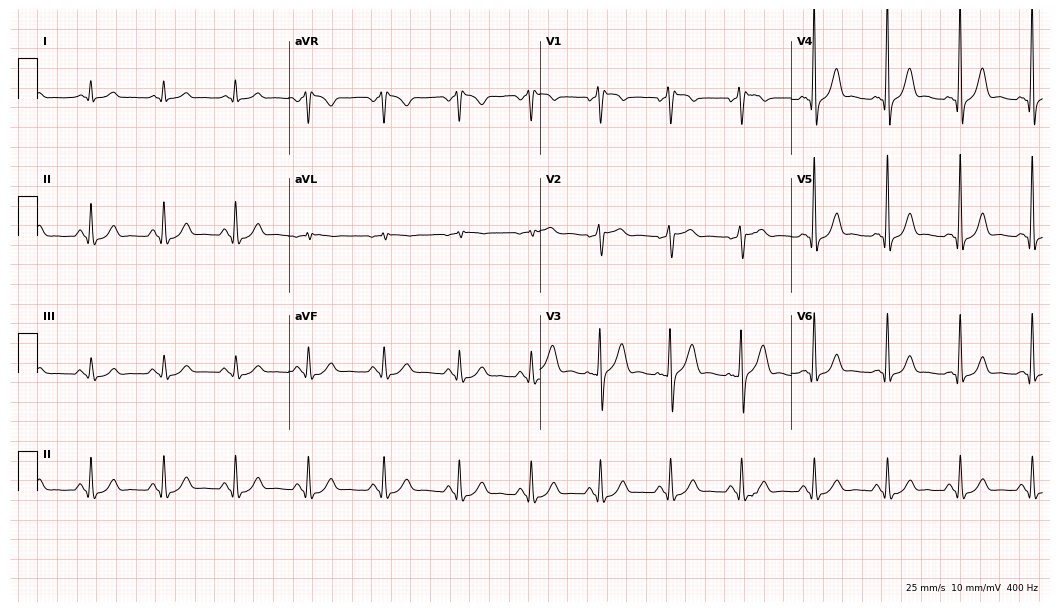
ECG (10.2-second recording at 400 Hz) — a 57-year-old man. Screened for six findings — first-degree AV block, right bundle branch block, left bundle branch block, sinus bradycardia, atrial fibrillation, sinus tachycardia — none is recorded. Findings outside these six are not listed.